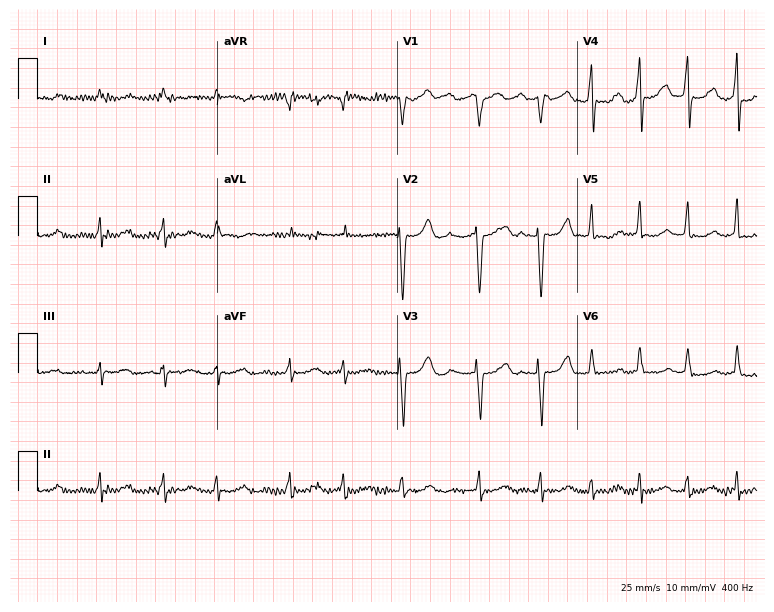
ECG (7.3-second recording at 400 Hz) — a 42-year-old female patient. Findings include atrial fibrillation.